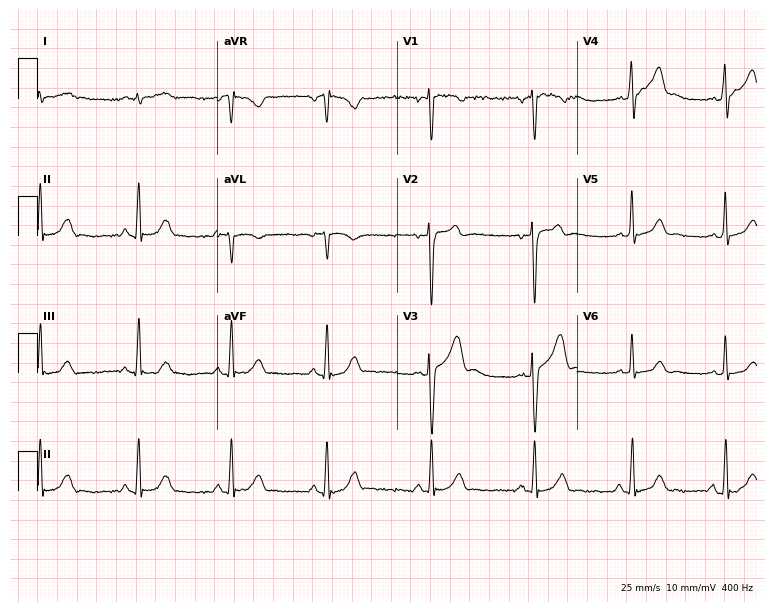
12-lead ECG from a 41-year-old male (7.3-second recording at 400 Hz). Recorded interpretation: within normal limits.